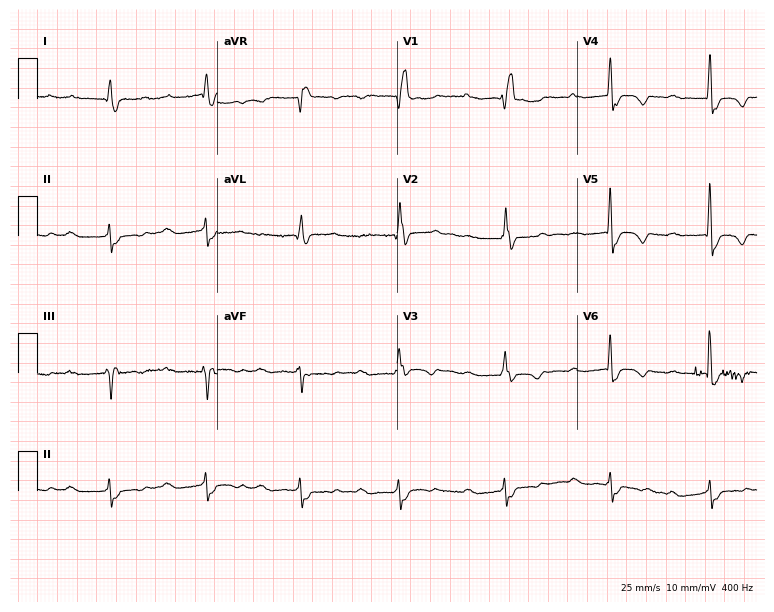
Resting 12-lead electrocardiogram. Patient: an 80-year-old female. The tracing shows first-degree AV block, right bundle branch block.